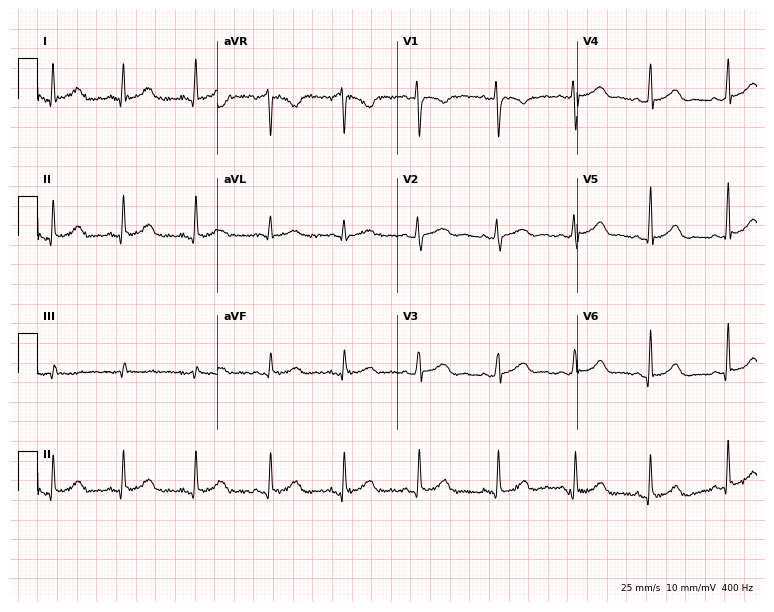
Resting 12-lead electrocardiogram. Patient: a woman, 35 years old. Read as a normal ECG.